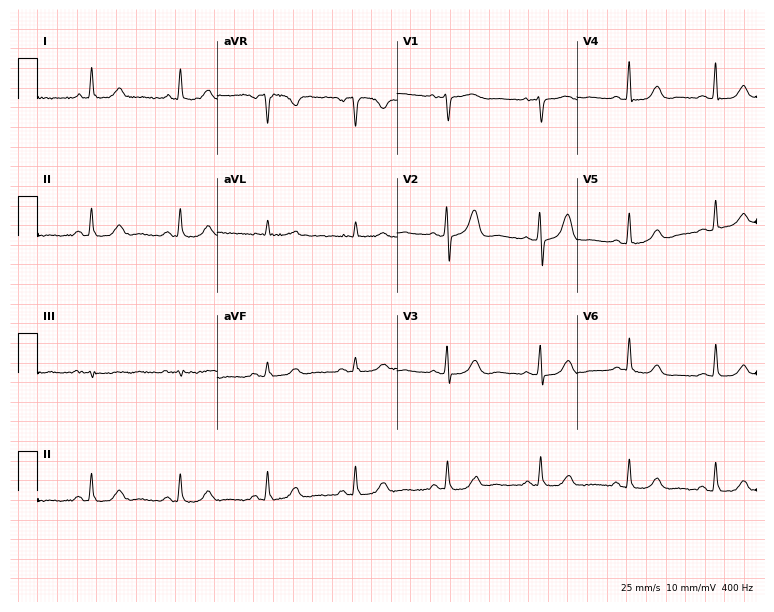
Resting 12-lead electrocardiogram (7.3-second recording at 400 Hz). Patient: a 56-year-old female. None of these six findings is recorded: first-degree AV block, right bundle branch block (RBBB), left bundle branch block (LBBB), sinus bradycardia, atrial fibrillation (AF), sinus tachycardia.